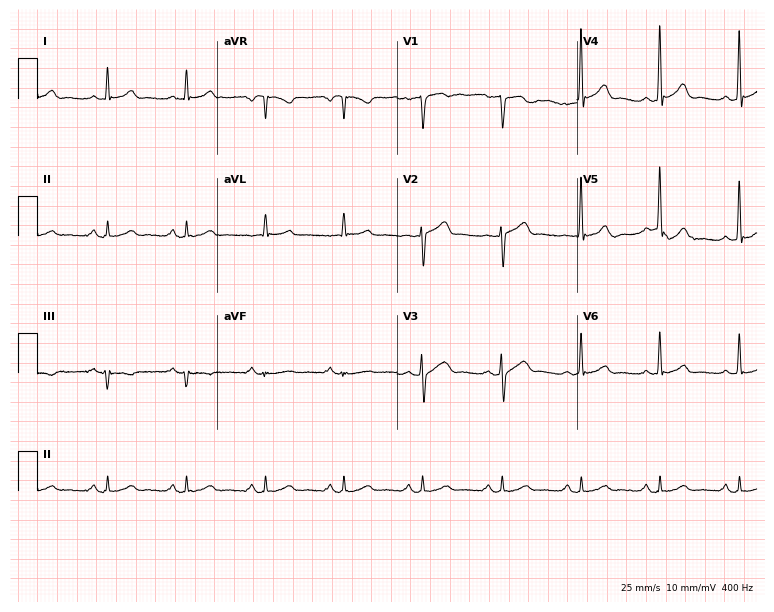
12-lead ECG from a male, 62 years old (7.3-second recording at 400 Hz). Recorded interpretation: within normal limits.